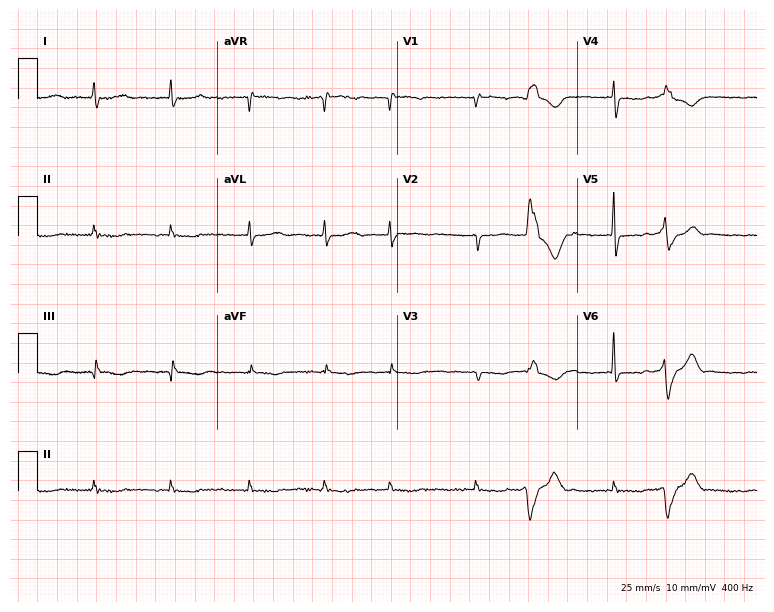
Standard 12-lead ECG recorded from a female patient, 80 years old (7.3-second recording at 400 Hz). The tracing shows atrial fibrillation (AF).